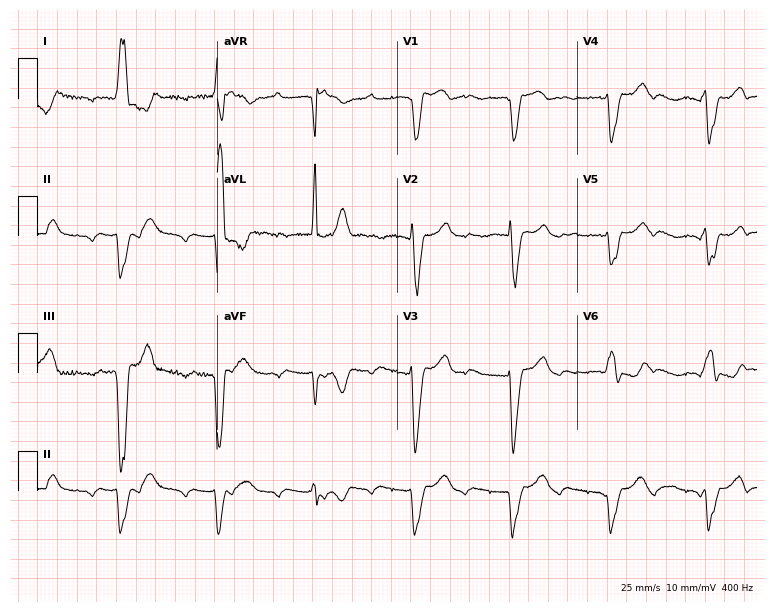
ECG — a female patient, 42 years old. Screened for six findings — first-degree AV block, right bundle branch block, left bundle branch block, sinus bradycardia, atrial fibrillation, sinus tachycardia — none is recorded.